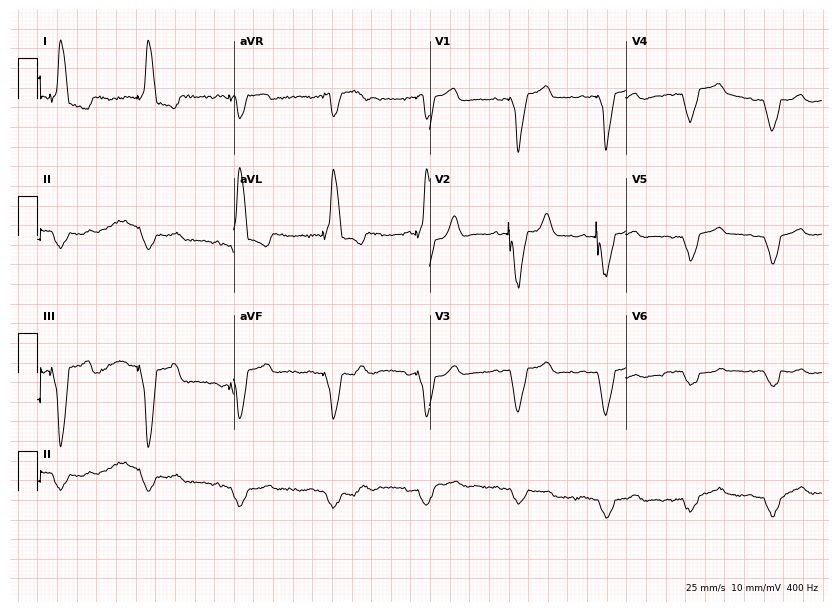
Electrocardiogram (8-second recording at 400 Hz), a female patient, 78 years old. Of the six screened findings (first-degree AV block, right bundle branch block (RBBB), left bundle branch block (LBBB), sinus bradycardia, atrial fibrillation (AF), sinus tachycardia), none is recorded. Only these six findings were labelled.